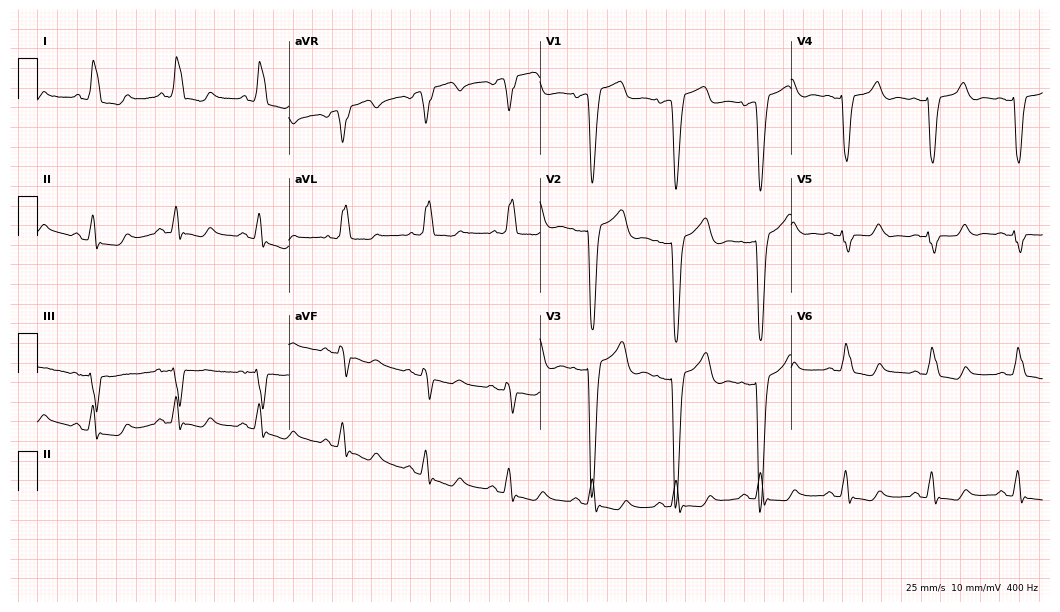
Standard 12-lead ECG recorded from a 64-year-old female patient (10.2-second recording at 400 Hz). The tracing shows left bundle branch block (LBBB).